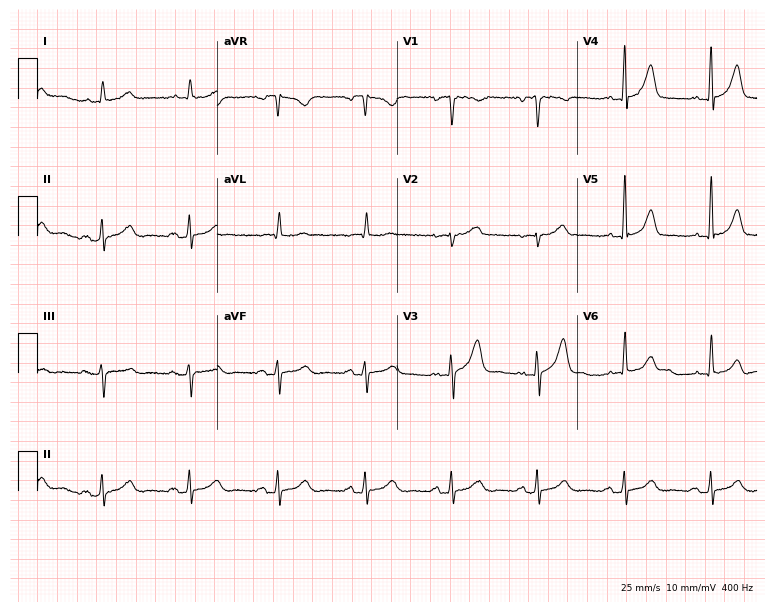
12-lead ECG (7.3-second recording at 400 Hz) from a male patient, 65 years old. Labelled as a normal ECG.